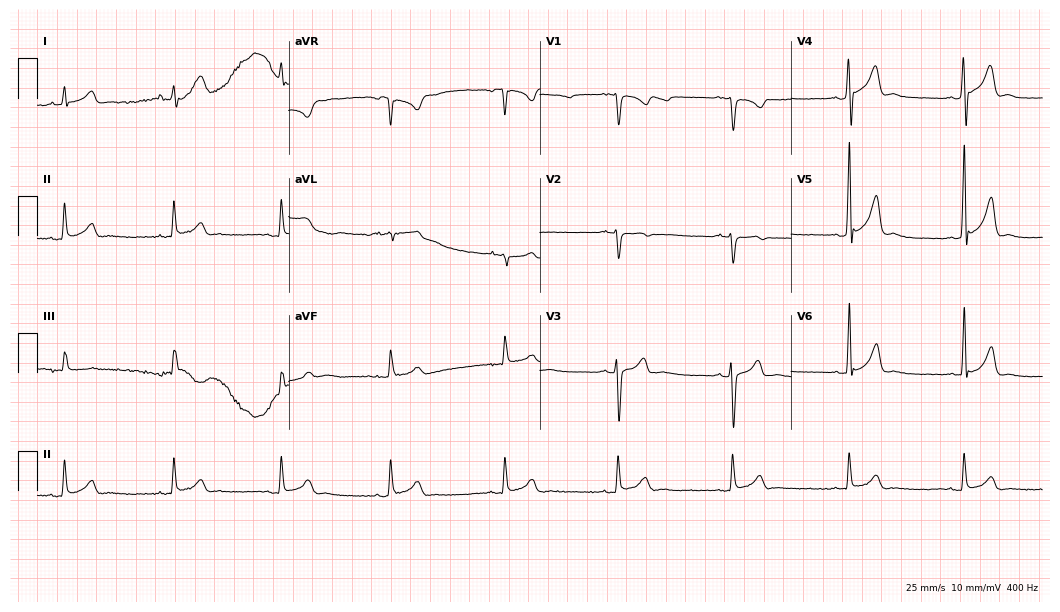
Electrocardiogram (10.2-second recording at 400 Hz), a male, 29 years old. Of the six screened findings (first-degree AV block, right bundle branch block, left bundle branch block, sinus bradycardia, atrial fibrillation, sinus tachycardia), none is recorded. Findings outside these six are not listed.